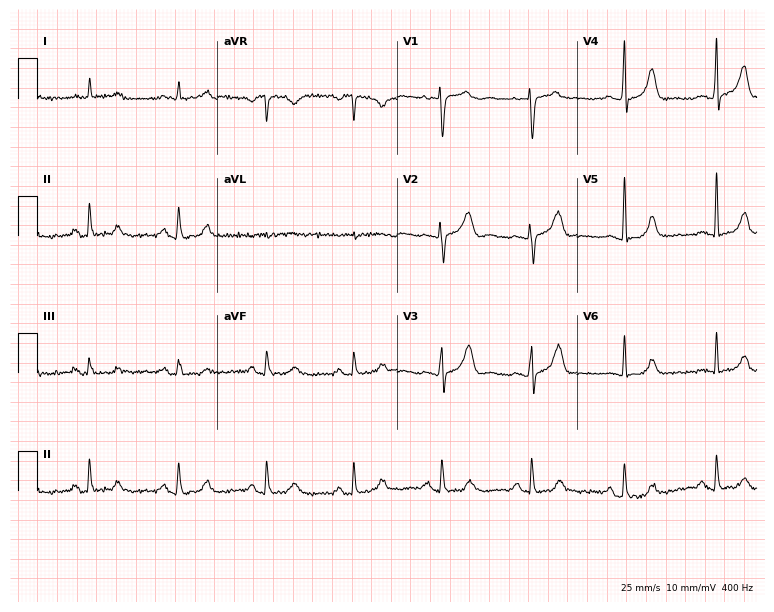
12-lead ECG from a man, 58 years old. Screened for six findings — first-degree AV block, right bundle branch block, left bundle branch block, sinus bradycardia, atrial fibrillation, sinus tachycardia — none is recorded. Other findings, if any, are not listed.